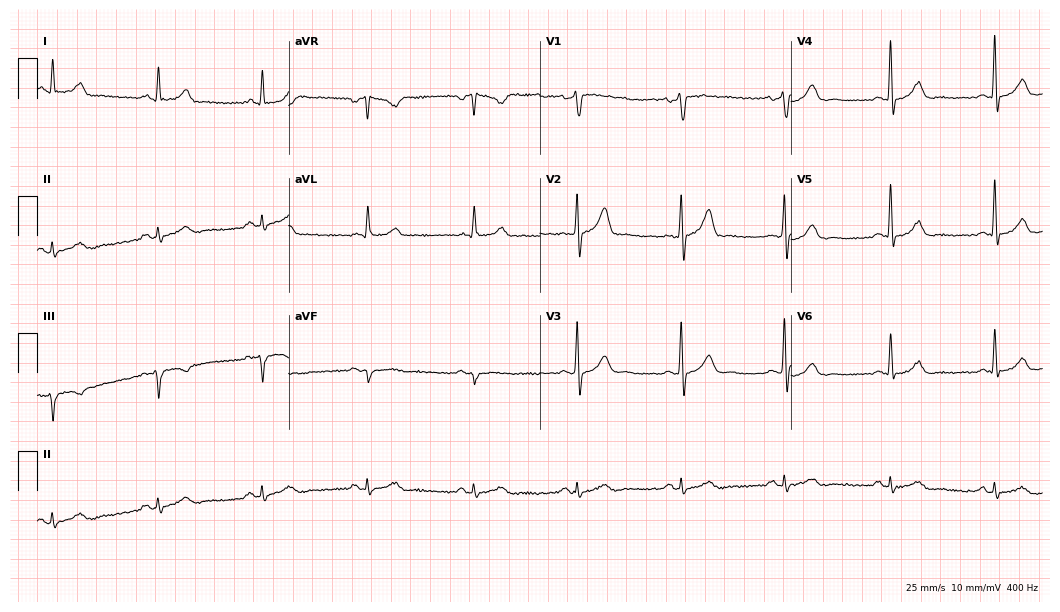
Electrocardiogram, a 70-year-old male. Overall reading on record: normal ECG.